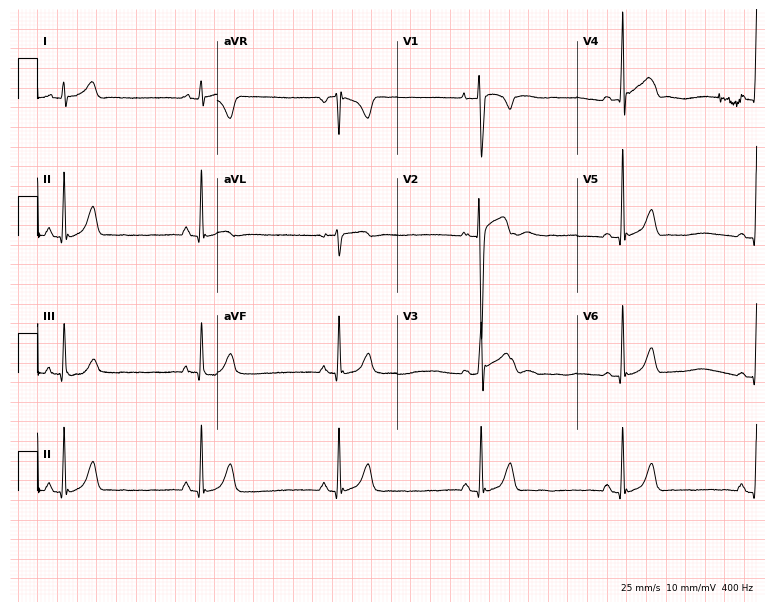
12-lead ECG from a 25-year-old male (7.3-second recording at 400 Hz). No first-degree AV block, right bundle branch block (RBBB), left bundle branch block (LBBB), sinus bradycardia, atrial fibrillation (AF) or sinus tachycardia recorded for this tracing.